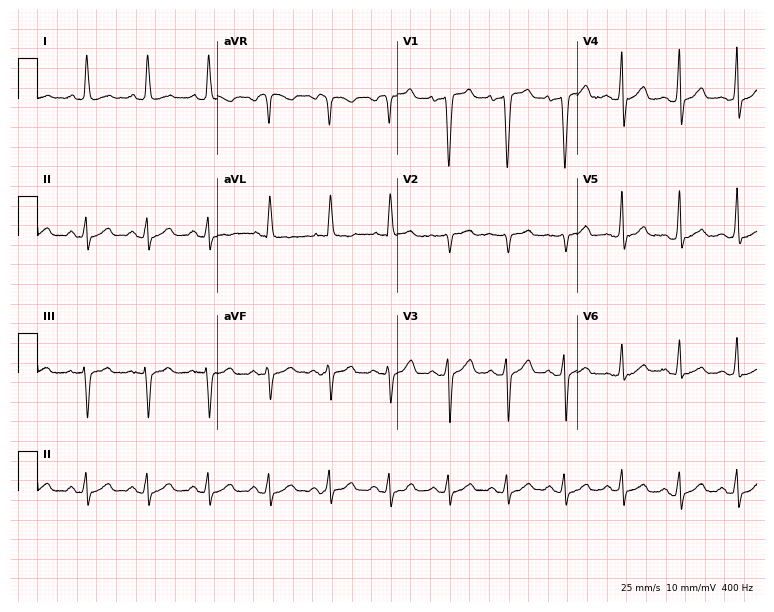
Electrocardiogram, a male patient, 56 years old. Of the six screened findings (first-degree AV block, right bundle branch block (RBBB), left bundle branch block (LBBB), sinus bradycardia, atrial fibrillation (AF), sinus tachycardia), none is recorded. Findings outside these six are not listed.